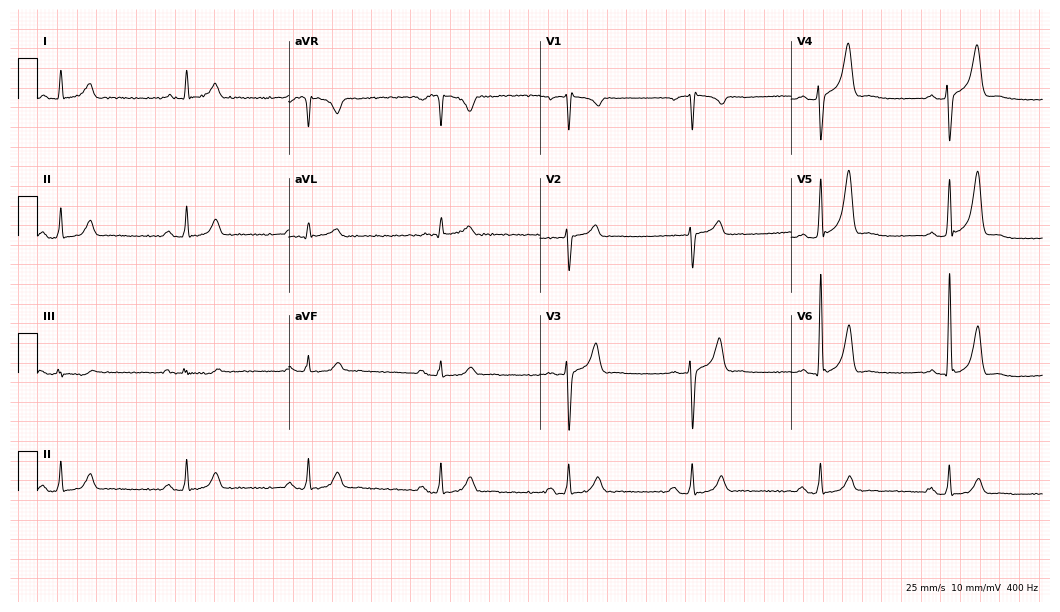
ECG (10.2-second recording at 400 Hz) — a 64-year-old male patient. Screened for six findings — first-degree AV block, right bundle branch block (RBBB), left bundle branch block (LBBB), sinus bradycardia, atrial fibrillation (AF), sinus tachycardia — none is recorded.